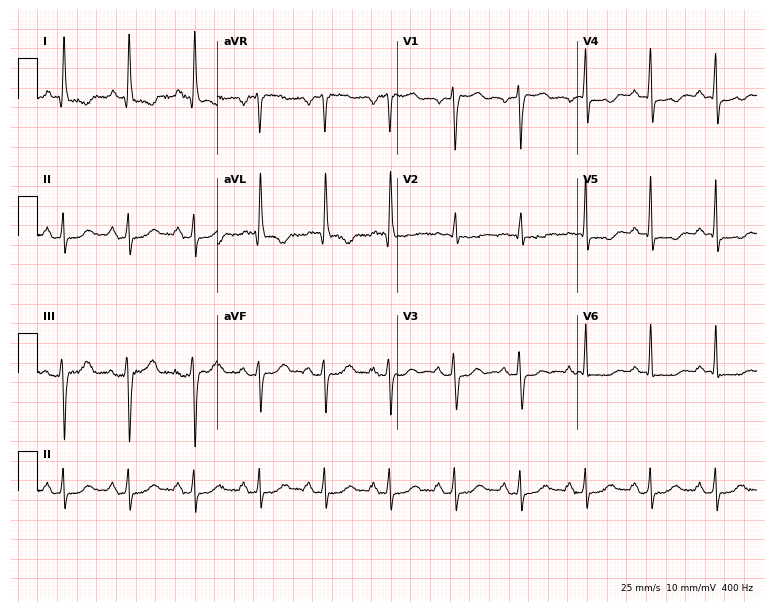
12-lead ECG from a female patient, 77 years old. Screened for six findings — first-degree AV block, right bundle branch block, left bundle branch block, sinus bradycardia, atrial fibrillation, sinus tachycardia — none is recorded.